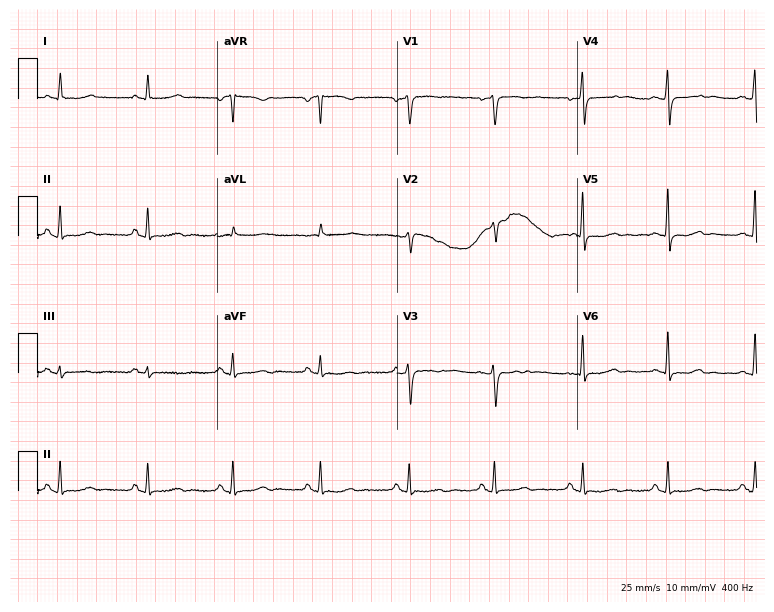
Standard 12-lead ECG recorded from a woman, 58 years old (7.3-second recording at 400 Hz). None of these six findings is recorded: first-degree AV block, right bundle branch block, left bundle branch block, sinus bradycardia, atrial fibrillation, sinus tachycardia. Only these six findings were labelled.